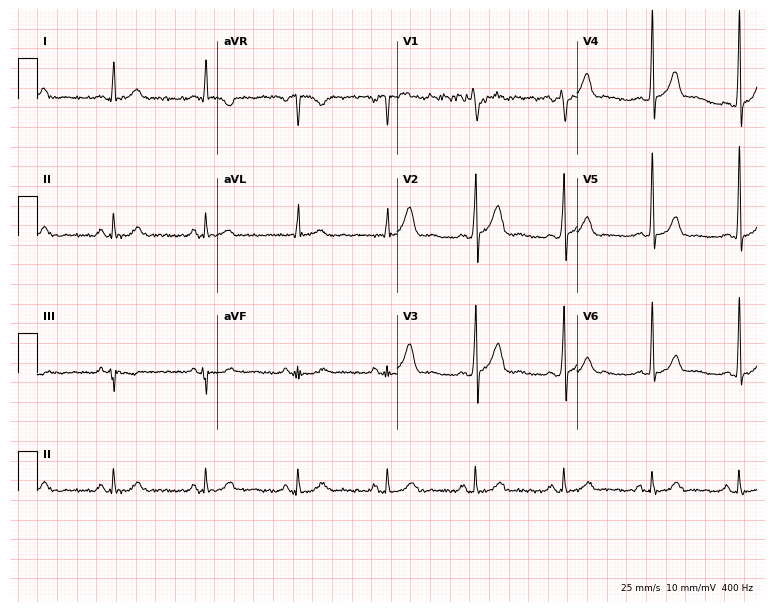
12-lead ECG from a 47-year-old male patient. No first-degree AV block, right bundle branch block, left bundle branch block, sinus bradycardia, atrial fibrillation or sinus tachycardia recorded for this tracing. Other findings, if any, are not listed.